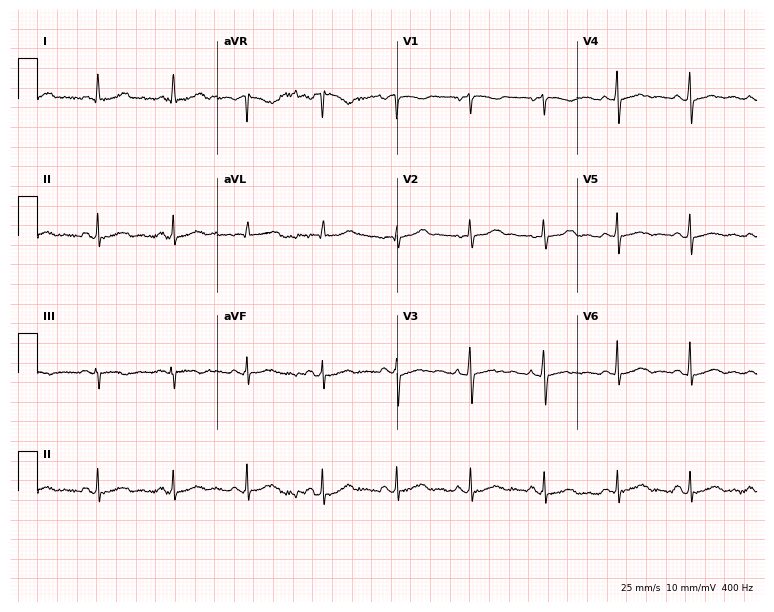
Resting 12-lead electrocardiogram (7.3-second recording at 400 Hz). Patient: a female, 74 years old. Read as a normal ECG.